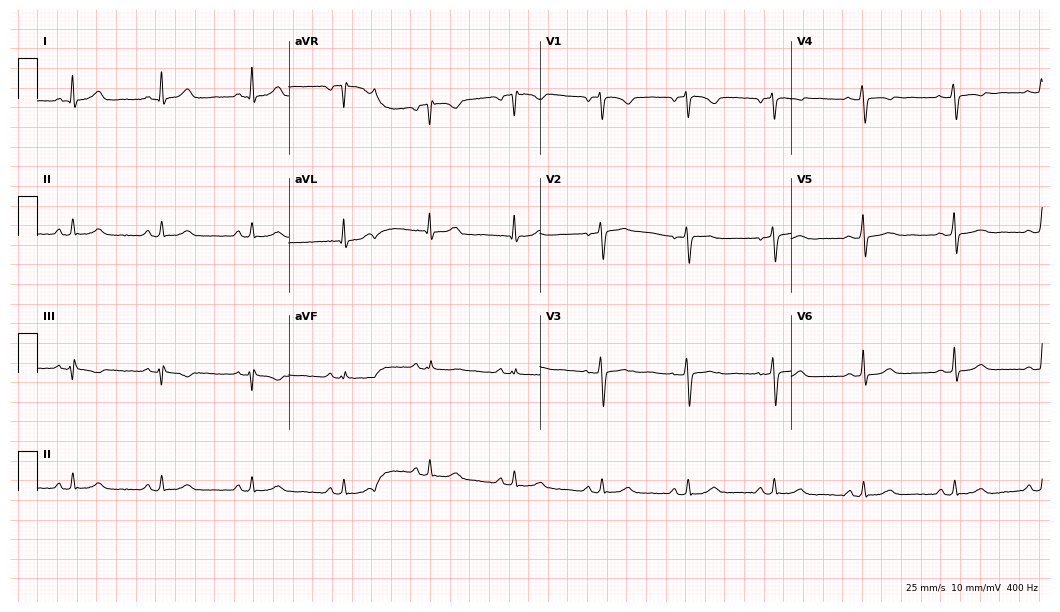
Resting 12-lead electrocardiogram. Patient: a female, 52 years old. None of these six findings is recorded: first-degree AV block, right bundle branch block, left bundle branch block, sinus bradycardia, atrial fibrillation, sinus tachycardia. Only these six findings were labelled.